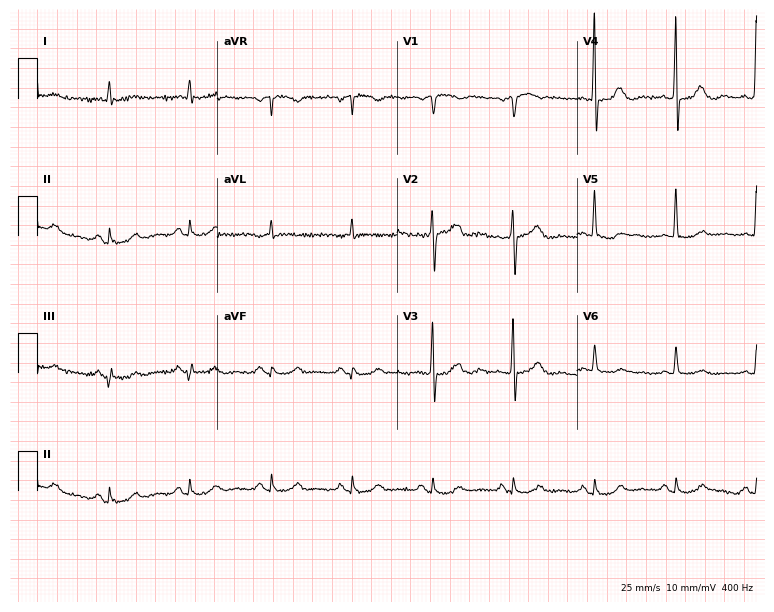
Standard 12-lead ECG recorded from a male, 61 years old. None of these six findings is recorded: first-degree AV block, right bundle branch block, left bundle branch block, sinus bradycardia, atrial fibrillation, sinus tachycardia.